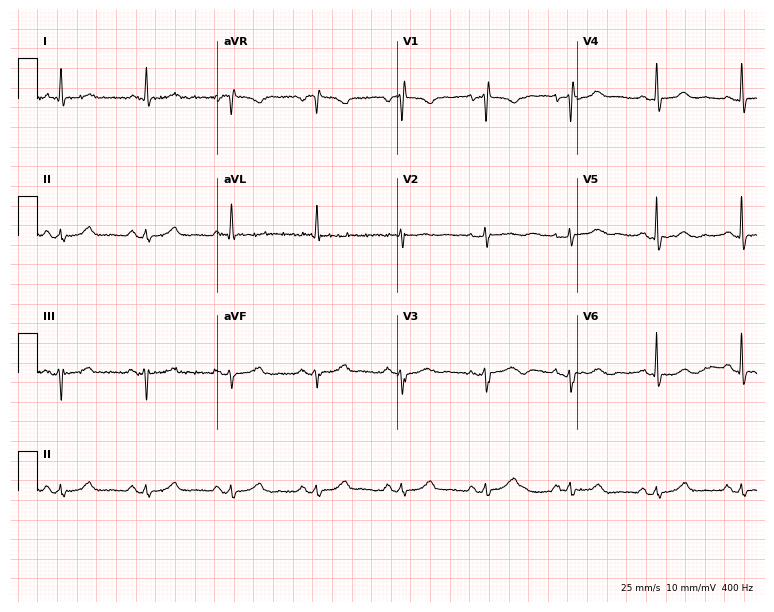
12-lead ECG (7.3-second recording at 400 Hz) from an 81-year-old female. Labelled as a normal ECG.